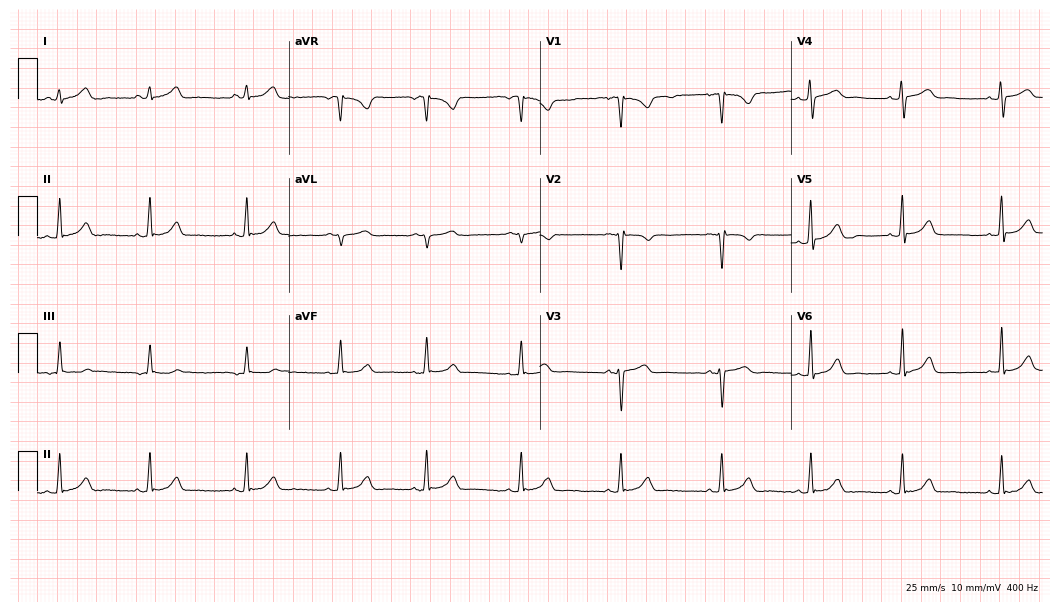
Standard 12-lead ECG recorded from a 22-year-old female (10.2-second recording at 400 Hz). None of these six findings is recorded: first-degree AV block, right bundle branch block (RBBB), left bundle branch block (LBBB), sinus bradycardia, atrial fibrillation (AF), sinus tachycardia.